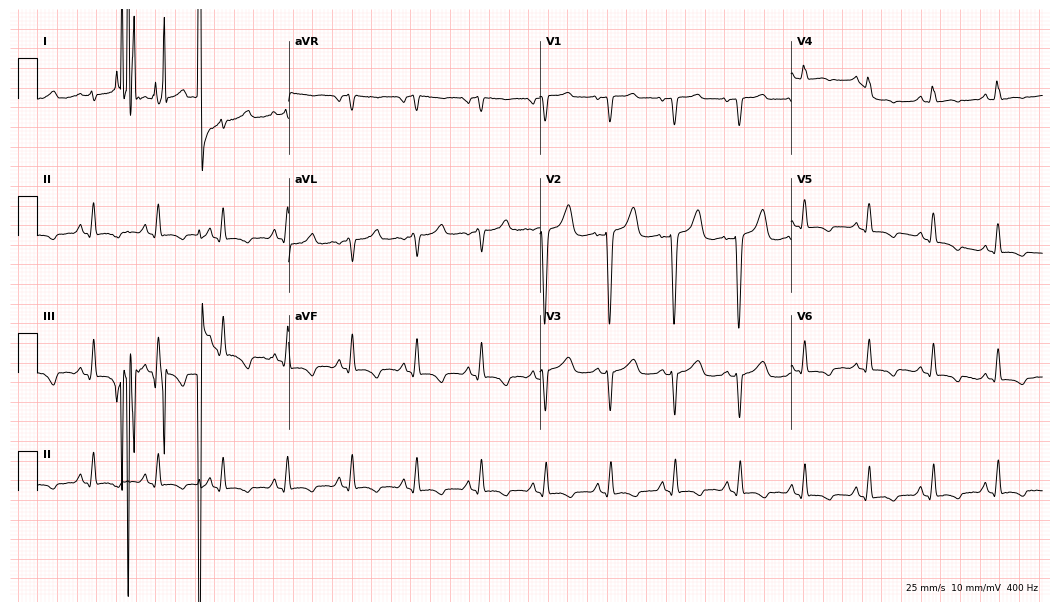
Electrocardiogram (10.2-second recording at 400 Hz), a 55-year-old female patient. Of the six screened findings (first-degree AV block, right bundle branch block (RBBB), left bundle branch block (LBBB), sinus bradycardia, atrial fibrillation (AF), sinus tachycardia), none is recorded.